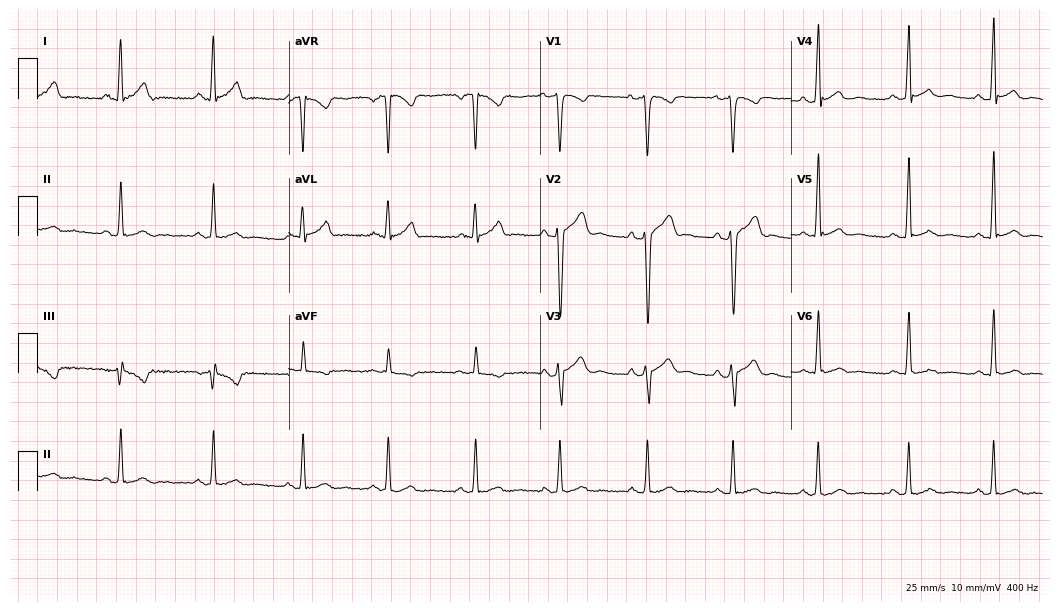
Electrocardiogram (10.2-second recording at 400 Hz), a male, 29 years old. Overall reading on record: normal ECG.